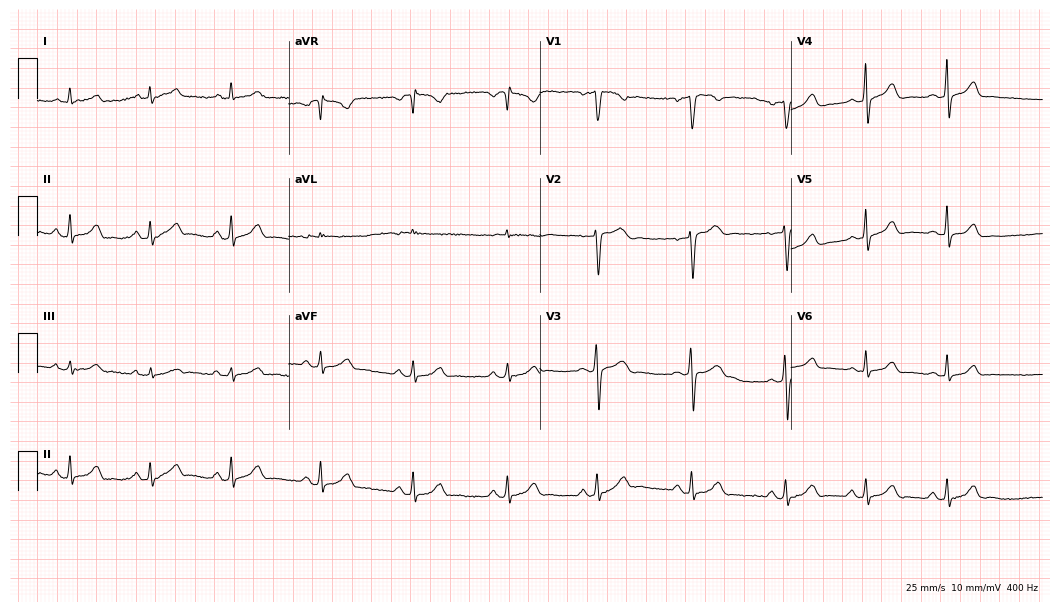
Standard 12-lead ECG recorded from a female patient, 28 years old (10.2-second recording at 400 Hz). Read as a normal ECG.